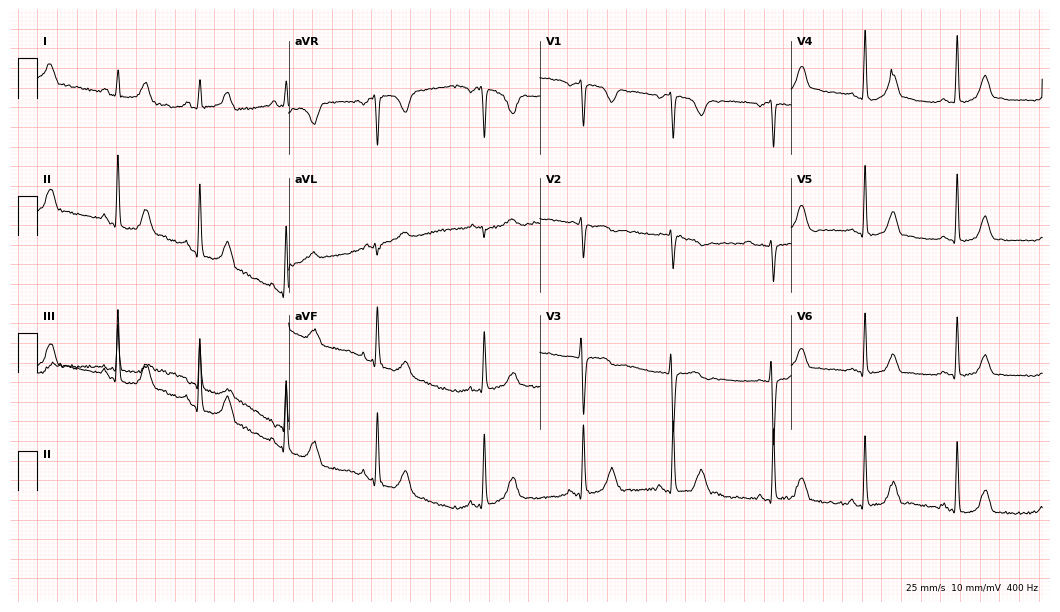
Electrocardiogram (10.2-second recording at 400 Hz), a female patient, 18 years old. Overall reading on record: normal ECG.